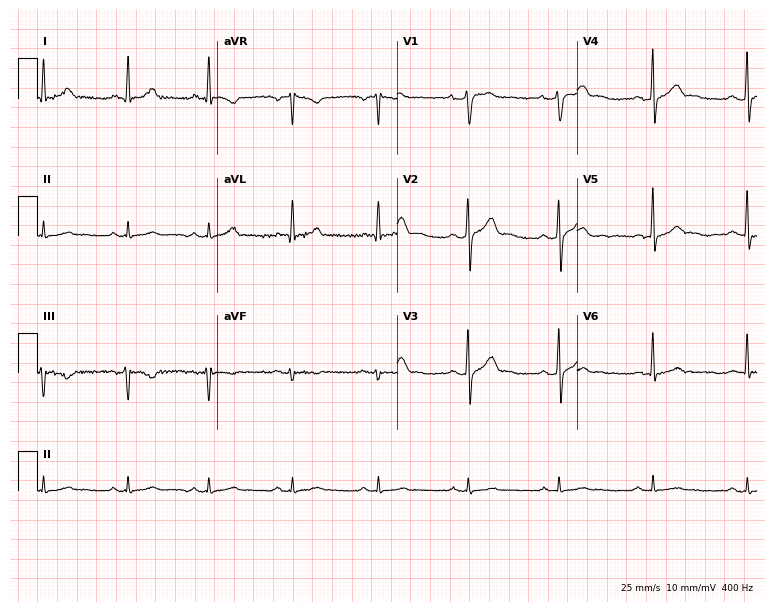
Resting 12-lead electrocardiogram. Patient: a male, 38 years old. Read as a normal ECG.